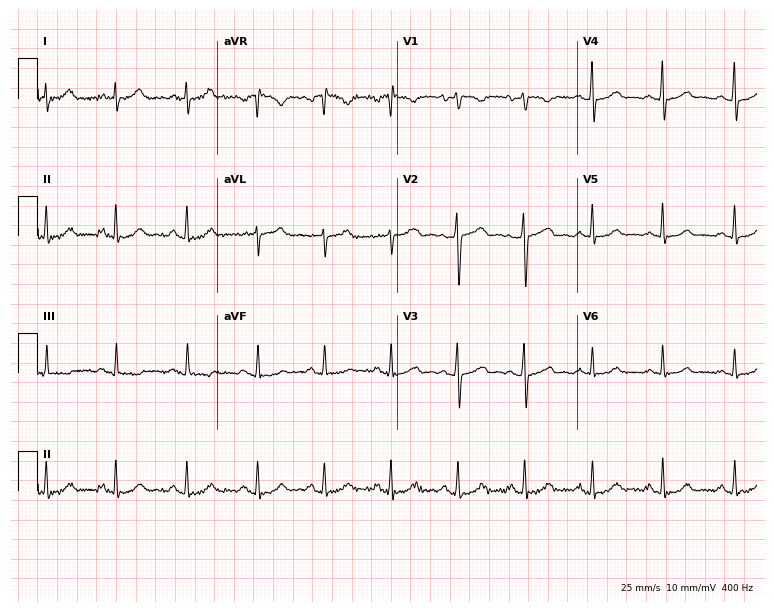
12-lead ECG (7.3-second recording at 400 Hz) from a 43-year-old female. Labelled as a normal ECG.